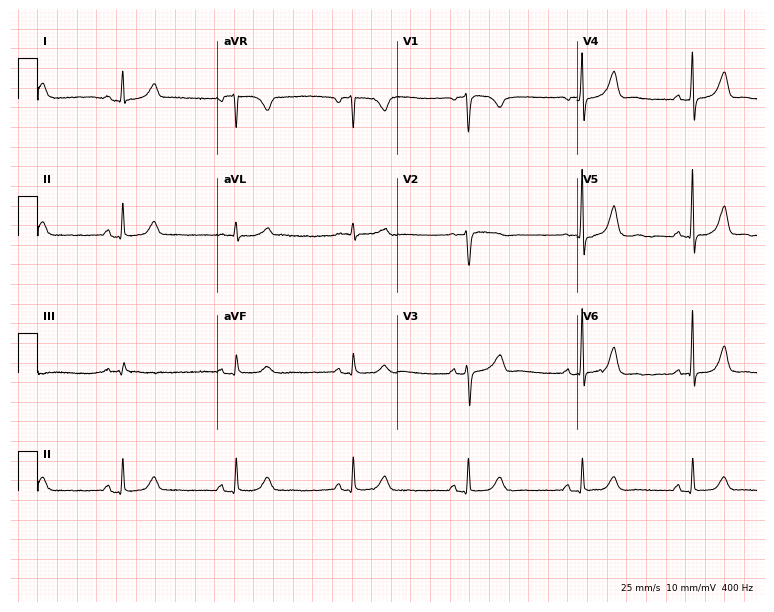
Resting 12-lead electrocardiogram. Patient: a woman, 57 years old. Read as a normal ECG.